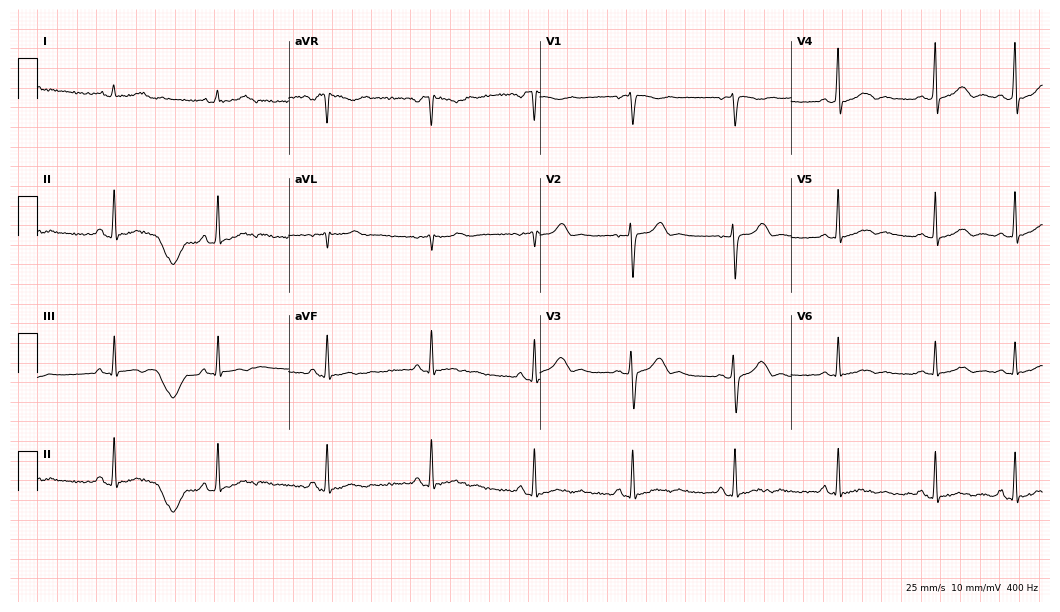
Electrocardiogram, a woman, 22 years old. Overall reading on record: normal ECG.